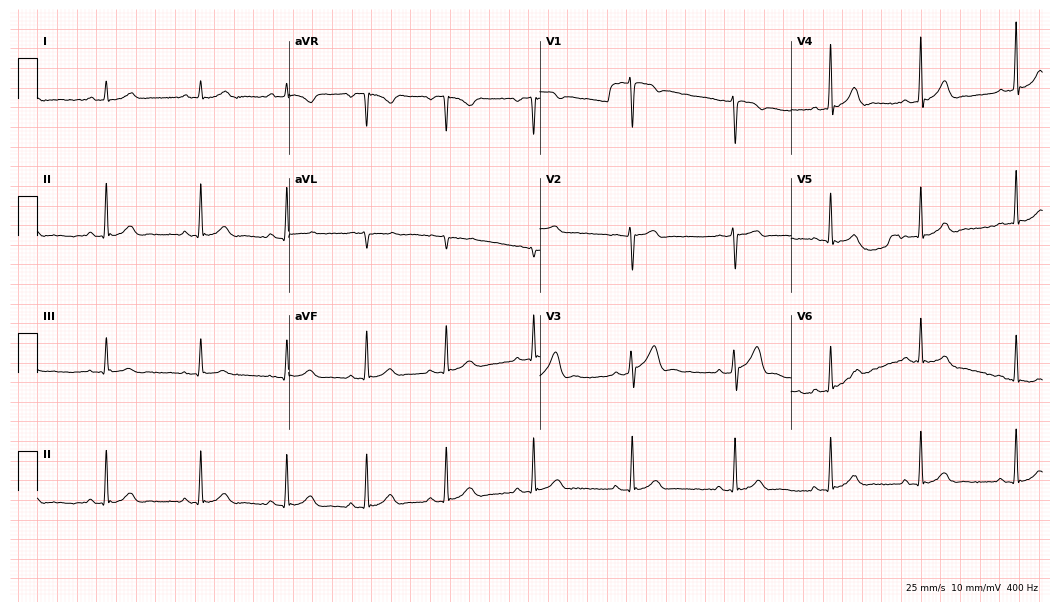
12-lead ECG (10.2-second recording at 400 Hz) from a male patient, 23 years old. Screened for six findings — first-degree AV block, right bundle branch block, left bundle branch block, sinus bradycardia, atrial fibrillation, sinus tachycardia — none is recorded. Only these six findings were labelled.